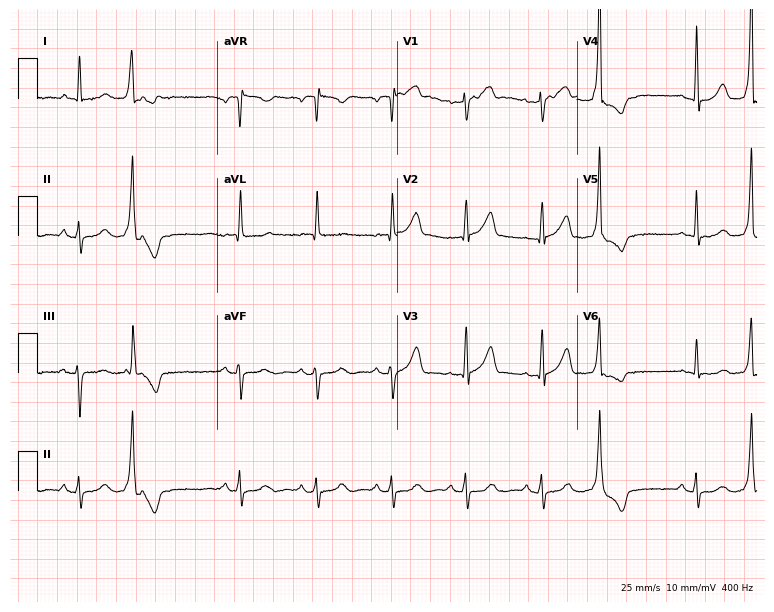
Standard 12-lead ECG recorded from a 65-year-old female patient. Read as a normal ECG.